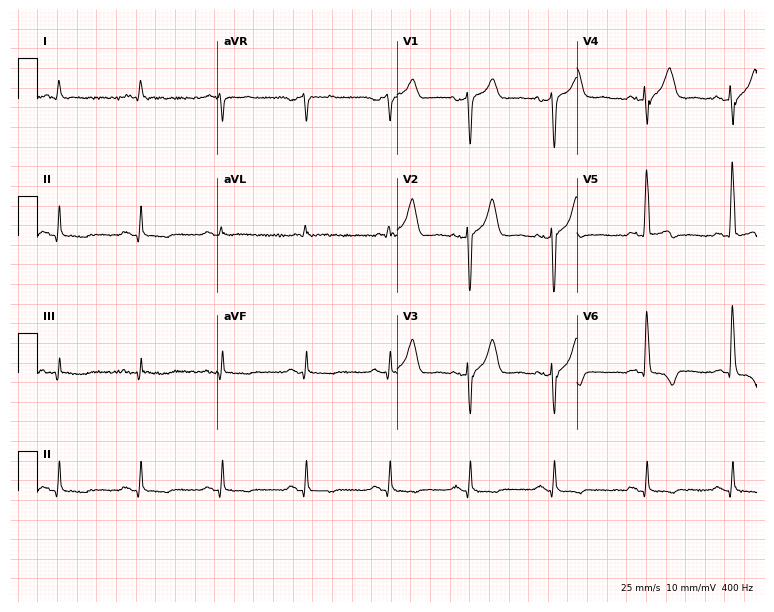
12-lead ECG (7.3-second recording at 400 Hz) from a 65-year-old male. Screened for six findings — first-degree AV block, right bundle branch block, left bundle branch block, sinus bradycardia, atrial fibrillation, sinus tachycardia — none is recorded.